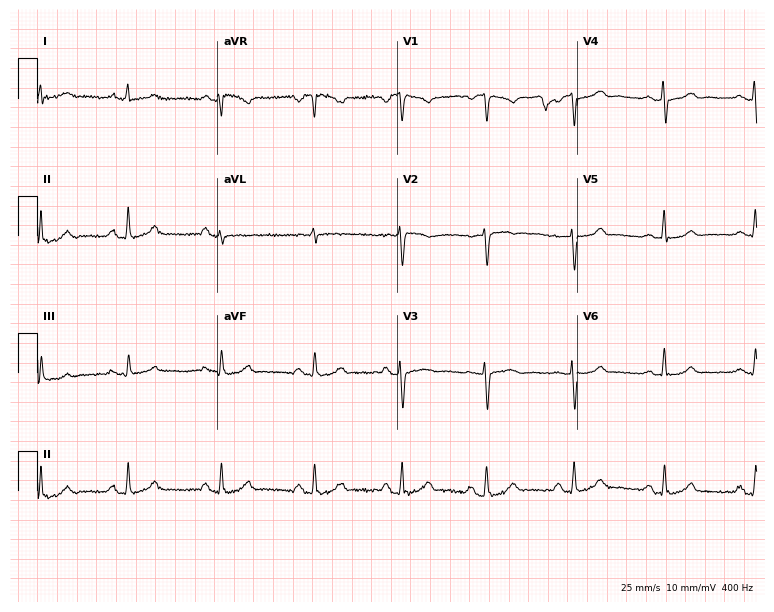
Standard 12-lead ECG recorded from a woman, 55 years old (7.3-second recording at 400 Hz). Read as a normal ECG.